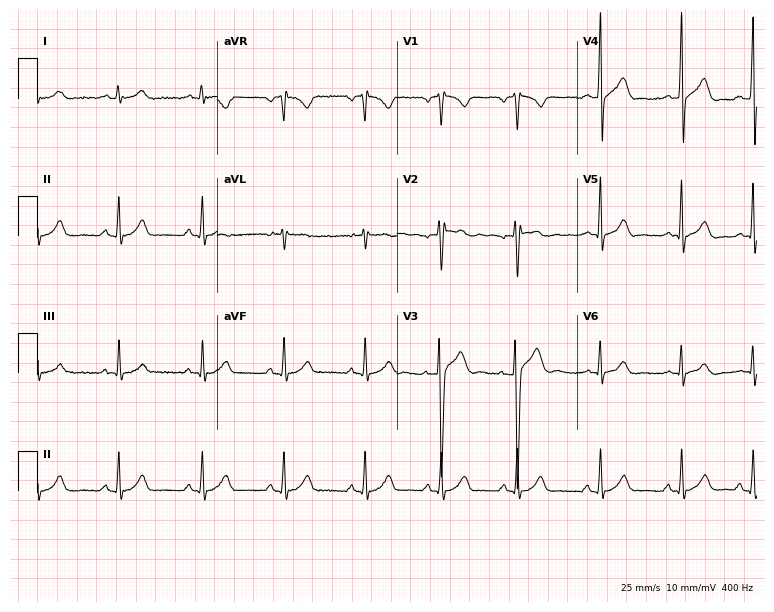
ECG — a man, 24 years old. Labelled as a normal ECG.